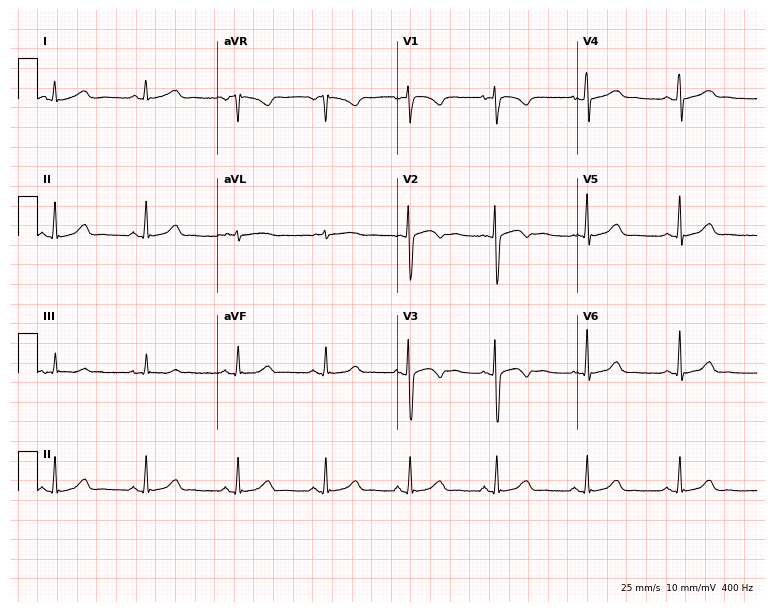
Resting 12-lead electrocardiogram (7.3-second recording at 400 Hz). Patient: a 38-year-old female. None of these six findings is recorded: first-degree AV block, right bundle branch block, left bundle branch block, sinus bradycardia, atrial fibrillation, sinus tachycardia.